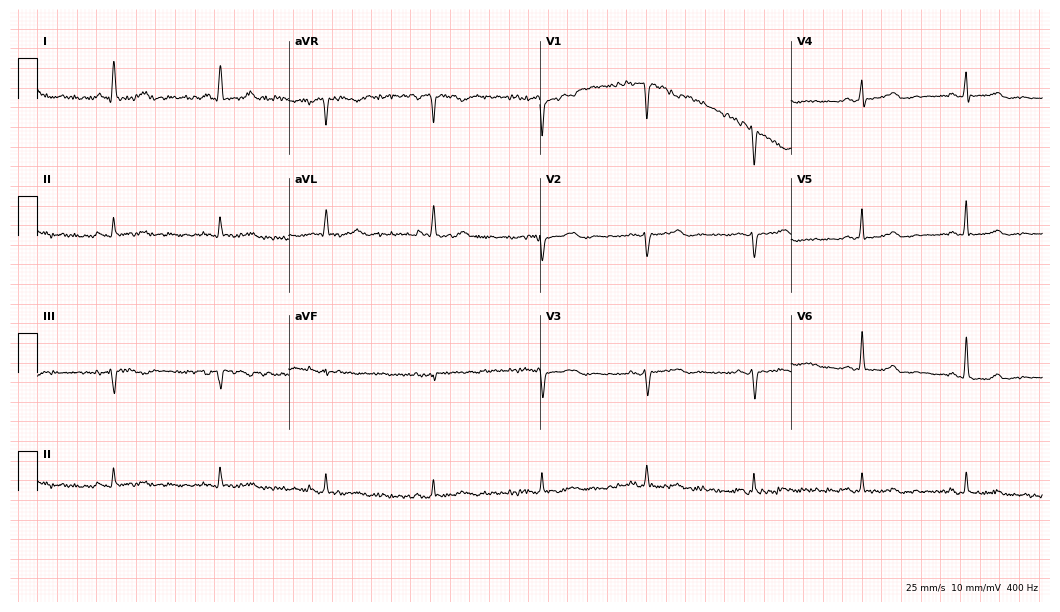
12-lead ECG from a 55-year-old woman (10.2-second recording at 400 Hz). No first-degree AV block, right bundle branch block, left bundle branch block, sinus bradycardia, atrial fibrillation or sinus tachycardia recorded for this tracing. Findings outside these six are not listed.